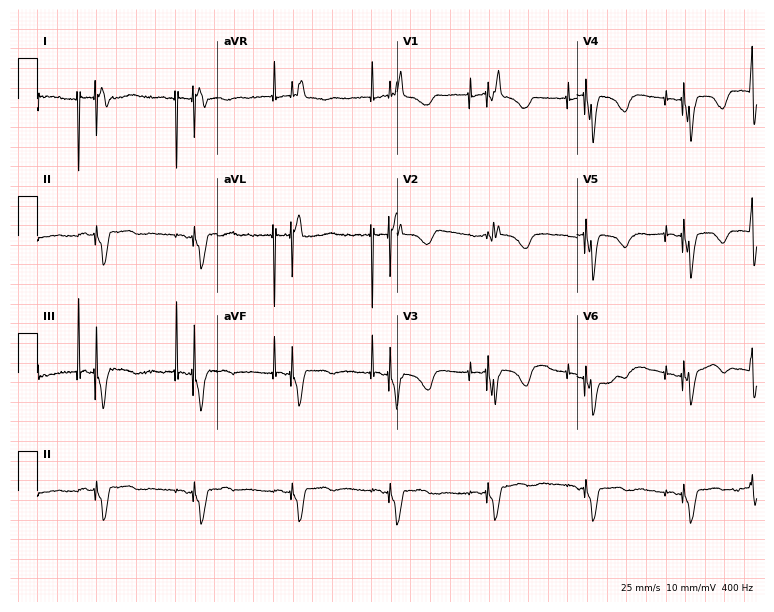
Resting 12-lead electrocardiogram (7.3-second recording at 400 Hz). Patient: a female, 82 years old. None of these six findings is recorded: first-degree AV block, right bundle branch block, left bundle branch block, sinus bradycardia, atrial fibrillation, sinus tachycardia.